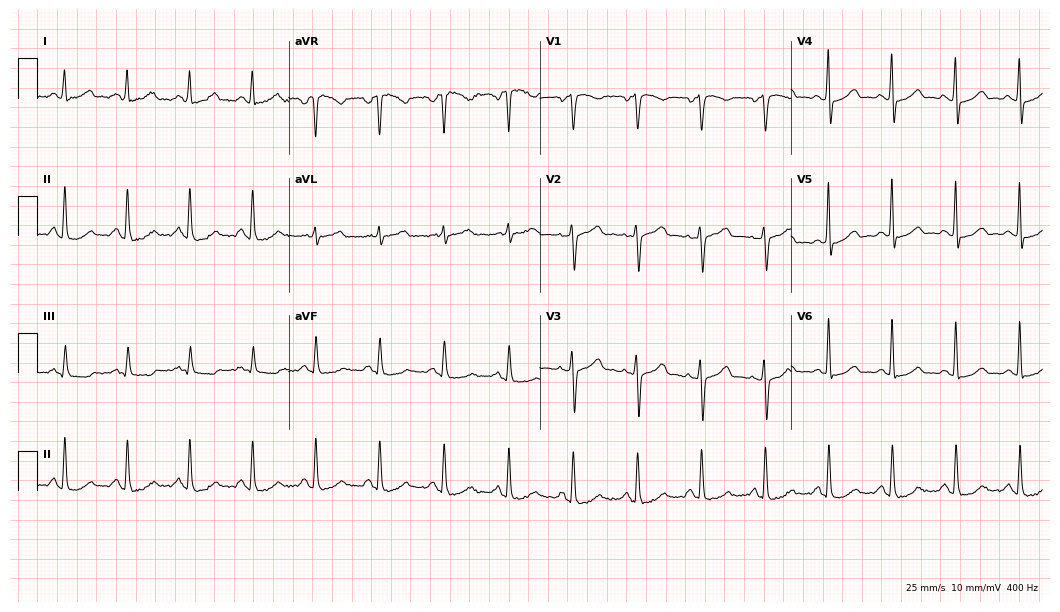
12-lead ECG from a woman, 57 years old. Labelled as a normal ECG.